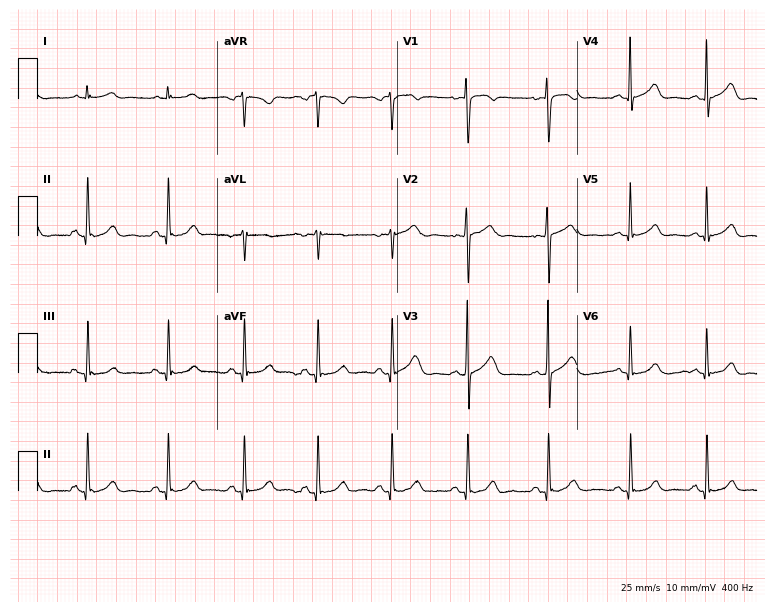
12-lead ECG from a 28-year-old woman. Recorded interpretation: within normal limits.